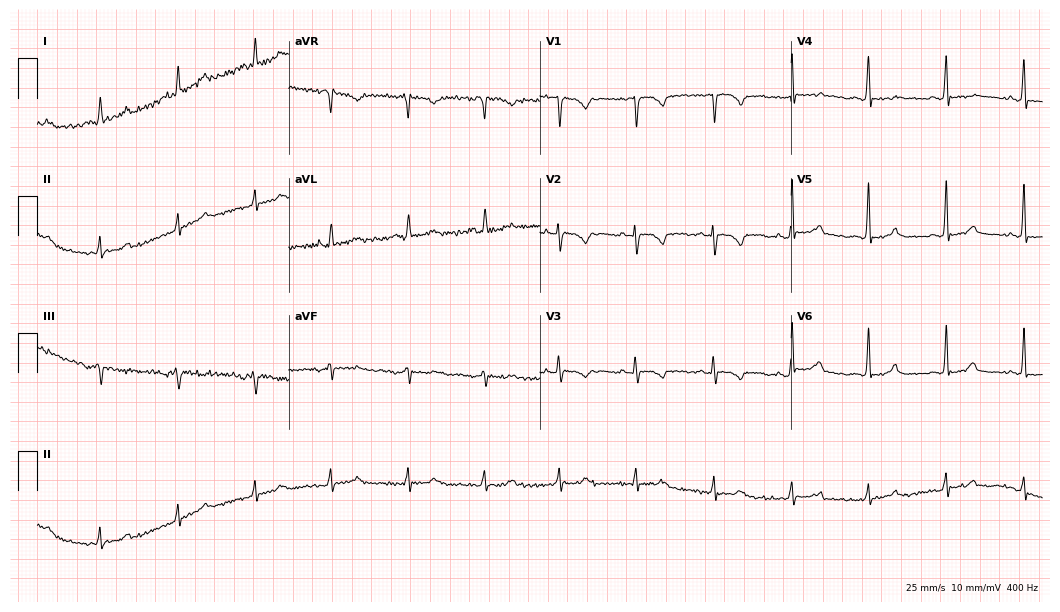
12-lead ECG from a 35-year-old female patient (10.2-second recording at 400 Hz). No first-degree AV block, right bundle branch block, left bundle branch block, sinus bradycardia, atrial fibrillation or sinus tachycardia recorded for this tracing.